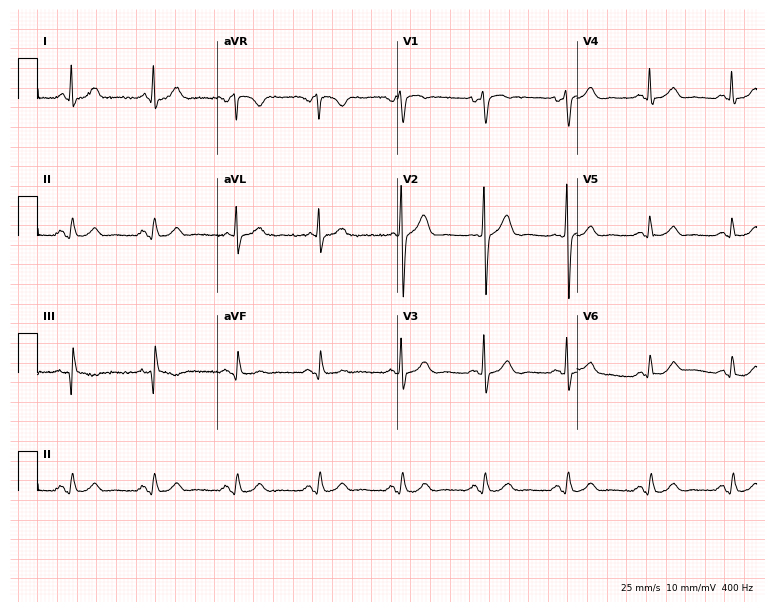
12-lead ECG from a 60-year-old male patient. Recorded interpretation: within normal limits.